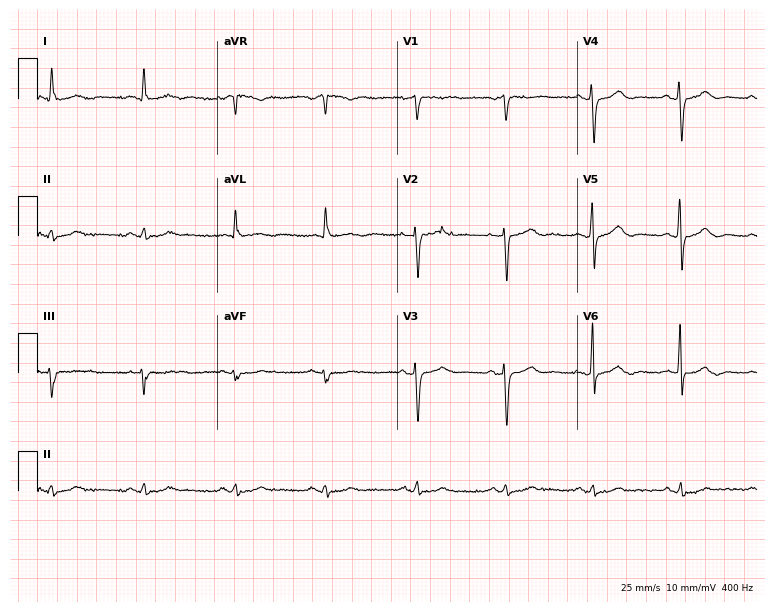
Standard 12-lead ECG recorded from a man, 78 years old (7.3-second recording at 400 Hz). Read as a normal ECG.